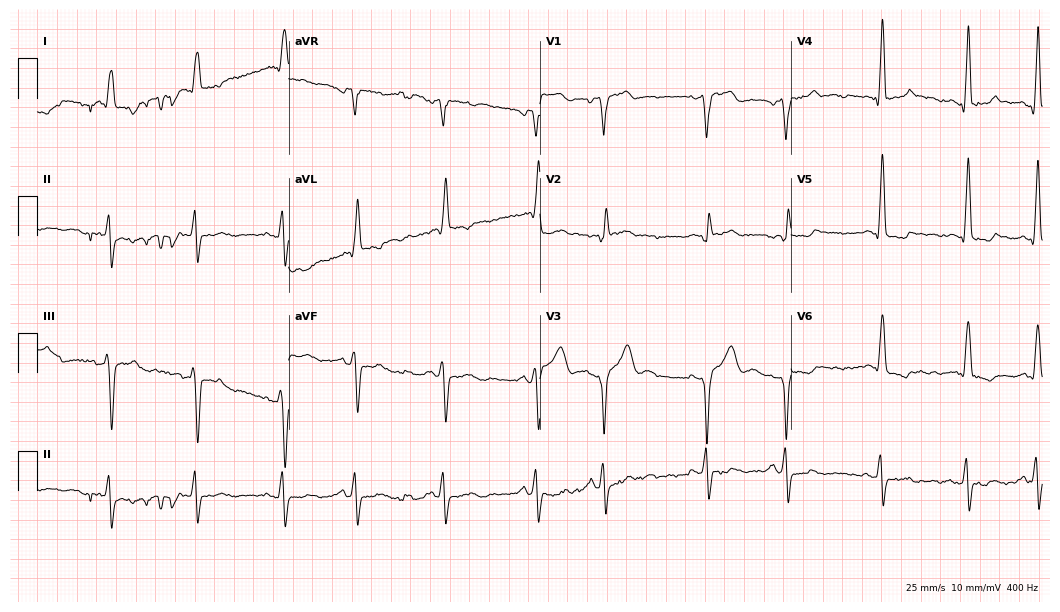
12-lead ECG (10.2-second recording at 400 Hz) from a male patient, 67 years old. Screened for six findings — first-degree AV block, right bundle branch block (RBBB), left bundle branch block (LBBB), sinus bradycardia, atrial fibrillation (AF), sinus tachycardia — none is recorded.